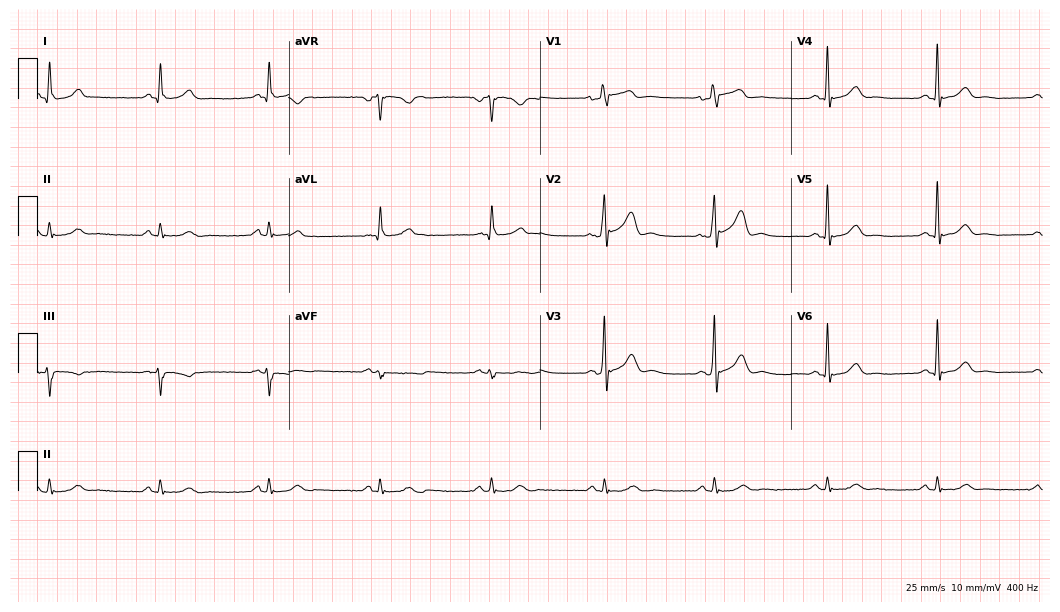
Standard 12-lead ECG recorded from a 55-year-old male. Read as a normal ECG.